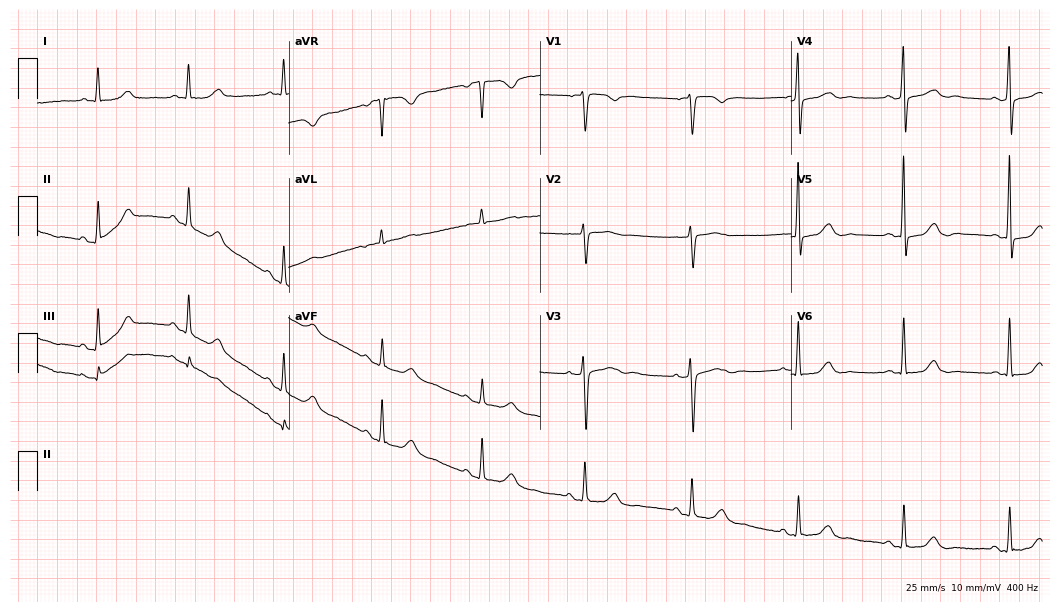
12-lead ECG from a female patient, 70 years old. Labelled as a normal ECG.